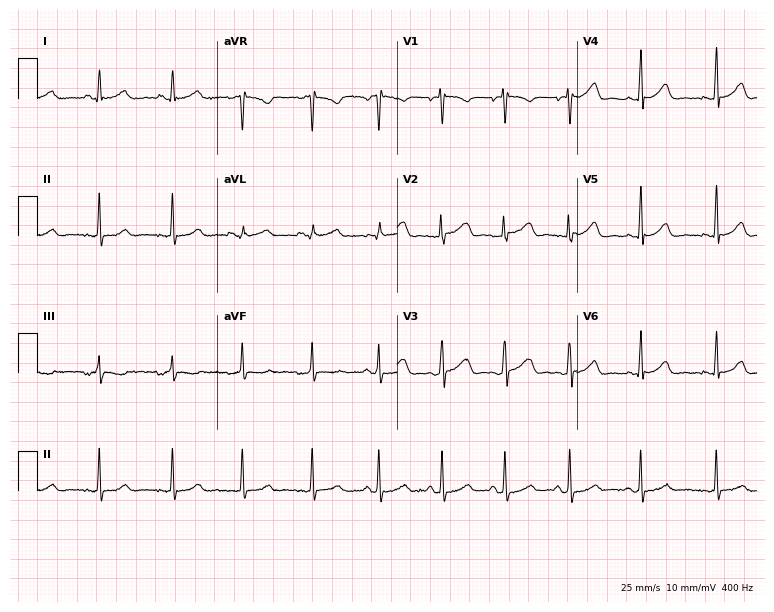
12-lead ECG (7.3-second recording at 400 Hz) from an 18-year-old female. Labelled as a normal ECG.